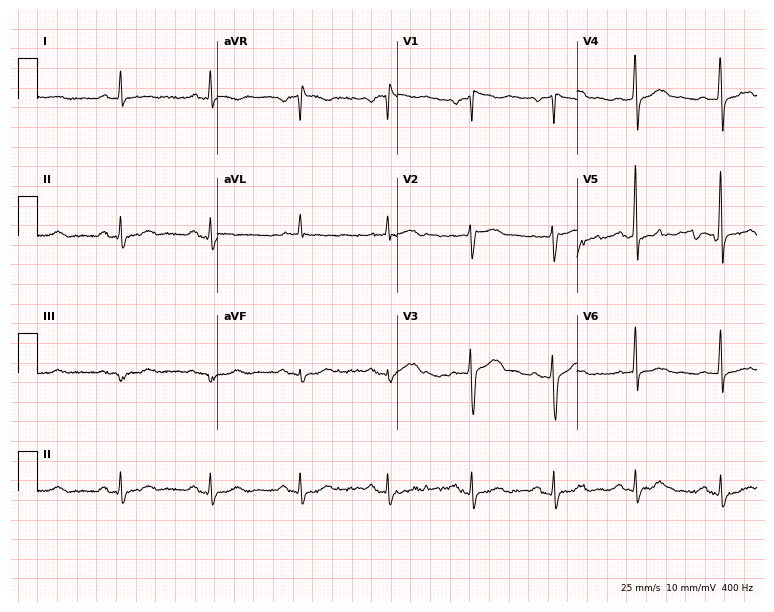
Resting 12-lead electrocardiogram (7.3-second recording at 400 Hz). Patient: a 71-year-old man. None of these six findings is recorded: first-degree AV block, right bundle branch block (RBBB), left bundle branch block (LBBB), sinus bradycardia, atrial fibrillation (AF), sinus tachycardia. Other findings, if any, are not listed.